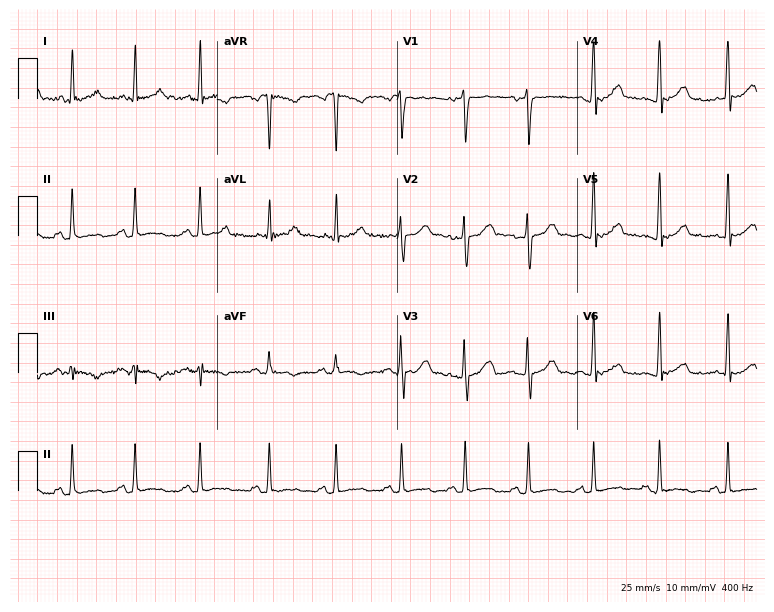
12-lead ECG from a 26-year-old woman. Screened for six findings — first-degree AV block, right bundle branch block, left bundle branch block, sinus bradycardia, atrial fibrillation, sinus tachycardia — none is recorded. Findings outside these six are not listed.